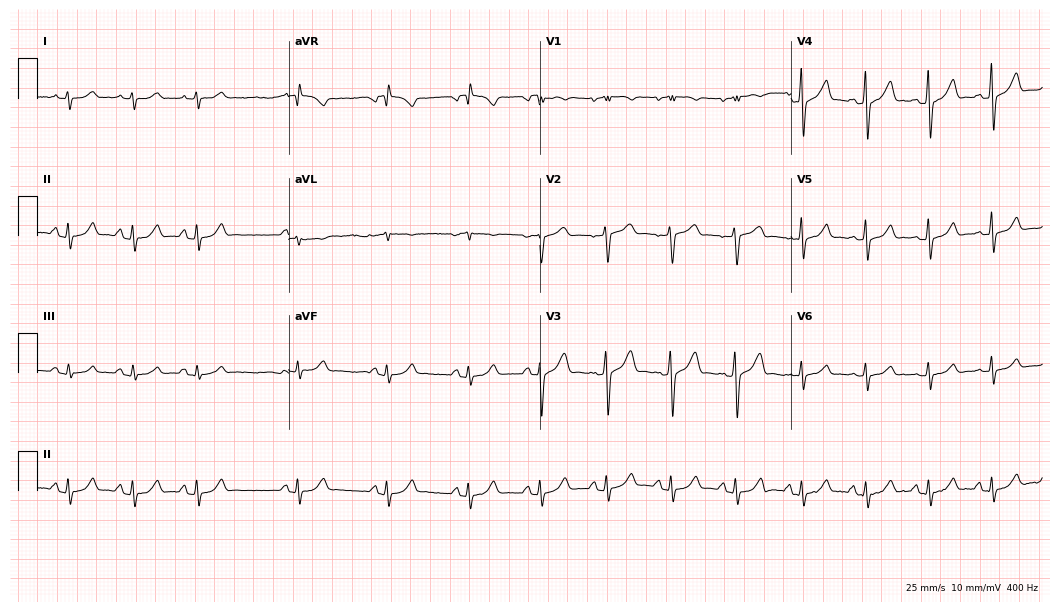
12-lead ECG from a 58-year-old male patient. Labelled as a normal ECG.